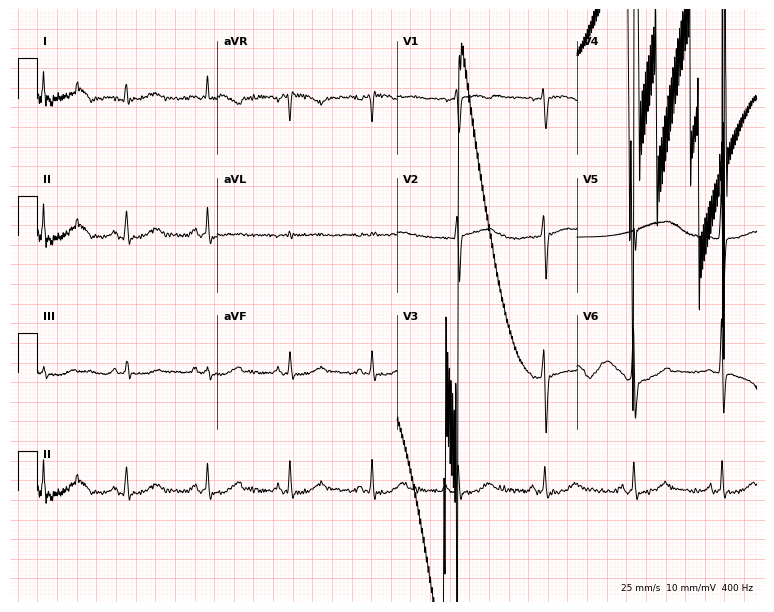
ECG — a female patient, 51 years old. Screened for six findings — first-degree AV block, right bundle branch block, left bundle branch block, sinus bradycardia, atrial fibrillation, sinus tachycardia — none is recorded.